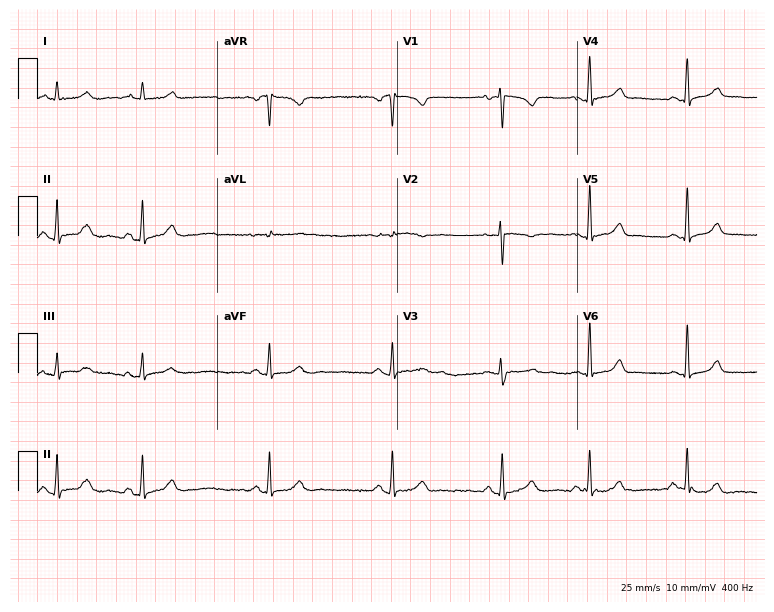
ECG (7.3-second recording at 400 Hz) — a female patient, 26 years old. Screened for six findings — first-degree AV block, right bundle branch block, left bundle branch block, sinus bradycardia, atrial fibrillation, sinus tachycardia — none is recorded.